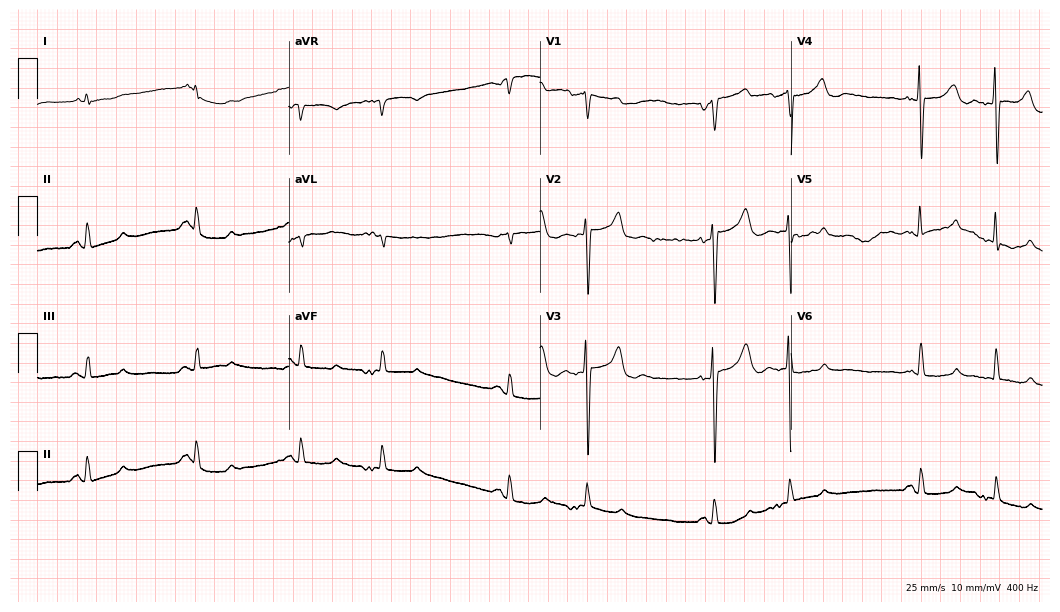
12-lead ECG from a man, 81 years old. Screened for six findings — first-degree AV block, right bundle branch block, left bundle branch block, sinus bradycardia, atrial fibrillation, sinus tachycardia — none is recorded.